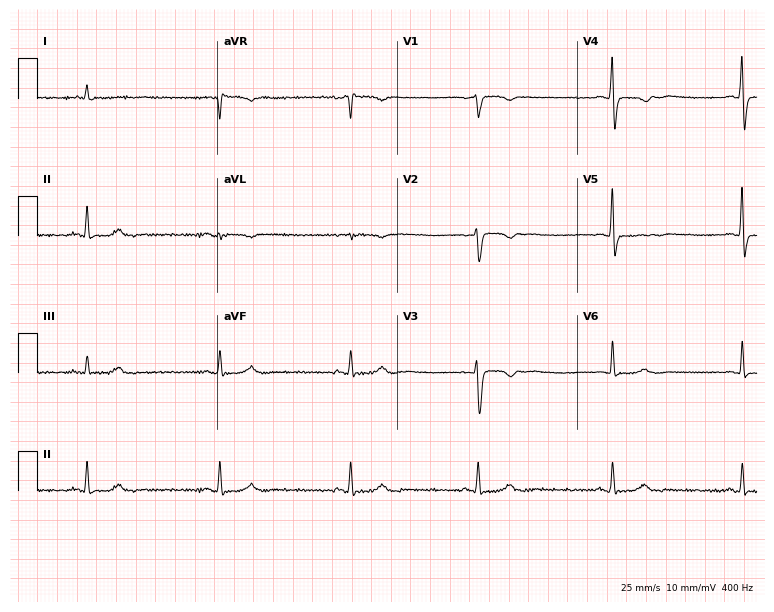
Electrocardiogram, a woman, 36 years old. Of the six screened findings (first-degree AV block, right bundle branch block, left bundle branch block, sinus bradycardia, atrial fibrillation, sinus tachycardia), none is recorded. Findings outside these six are not listed.